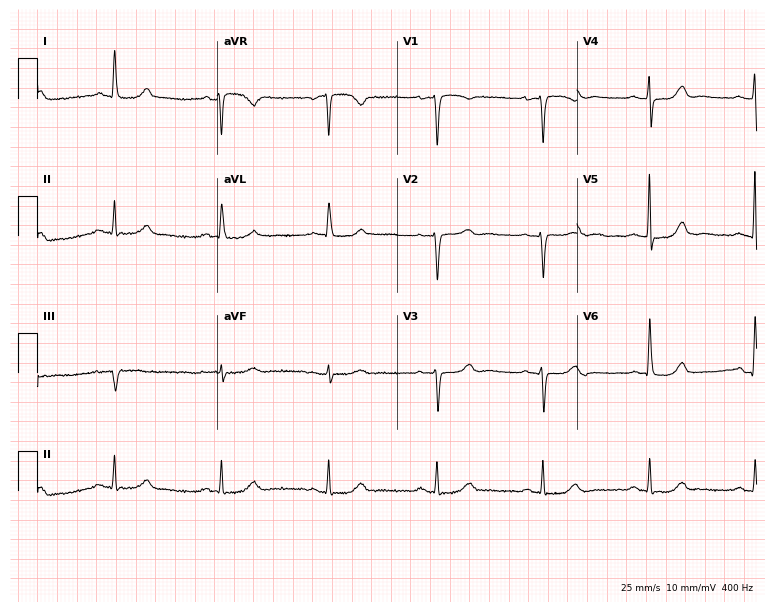
12-lead ECG (7.3-second recording at 400 Hz) from a female, 78 years old. Screened for six findings — first-degree AV block, right bundle branch block, left bundle branch block, sinus bradycardia, atrial fibrillation, sinus tachycardia — none is recorded.